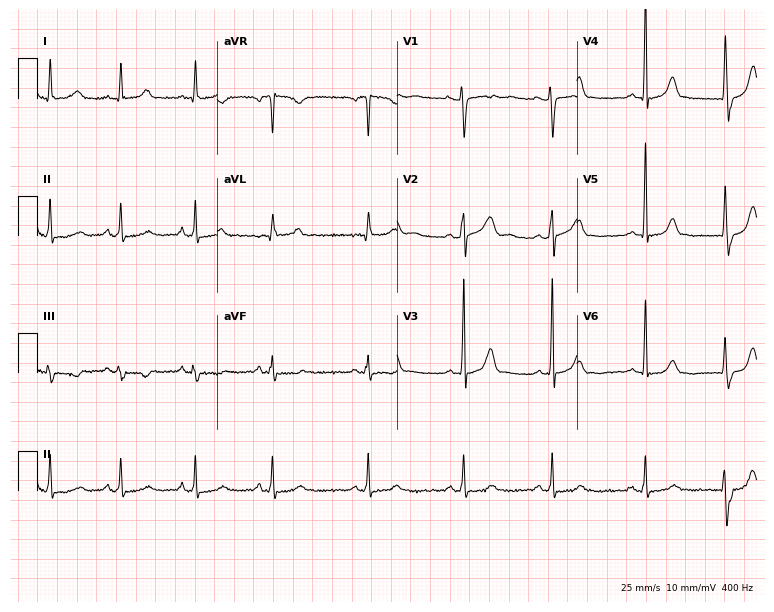
ECG (7.3-second recording at 400 Hz) — a female patient, 39 years old. Labelled as a normal ECG.